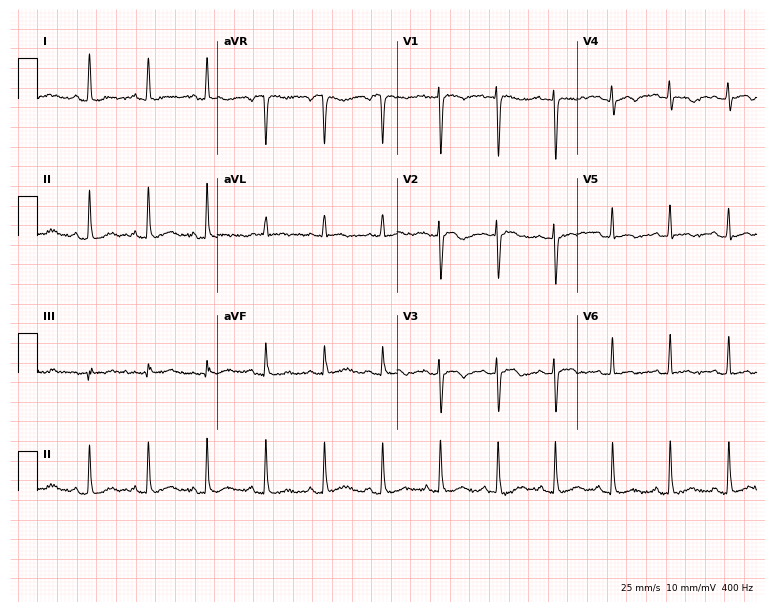
Standard 12-lead ECG recorded from a female, 25 years old. None of these six findings is recorded: first-degree AV block, right bundle branch block (RBBB), left bundle branch block (LBBB), sinus bradycardia, atrial fibrillation (AF), sinus tachycardia. Only these six findings were labelled.